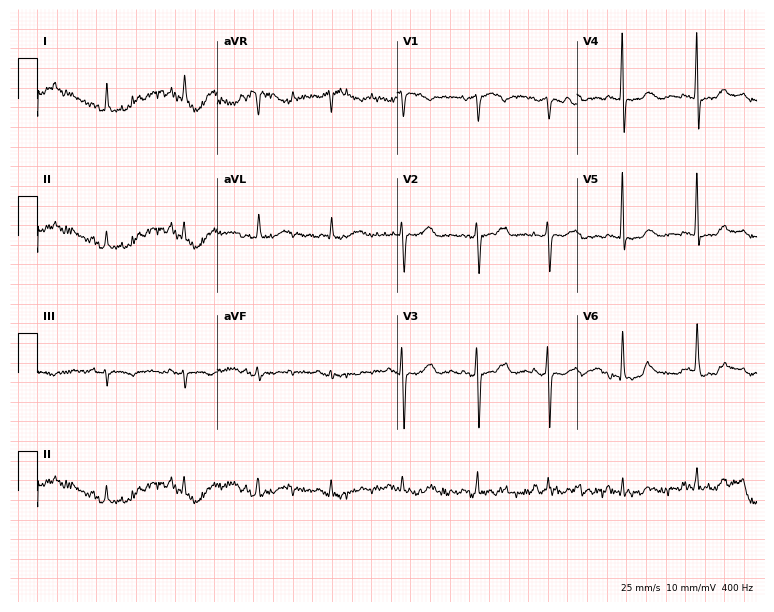
12-lead ECG from a female, 82 years old (7.3-second recording at 400 Hz). No first-degree AV block, right bundle branch block (RBBB), left bundle branch block (LBBB), sinus bradycardia, atrial fibrillation (AF) or sinus tachycardia recorded for this tracing. Other findings, if any, are not listed.